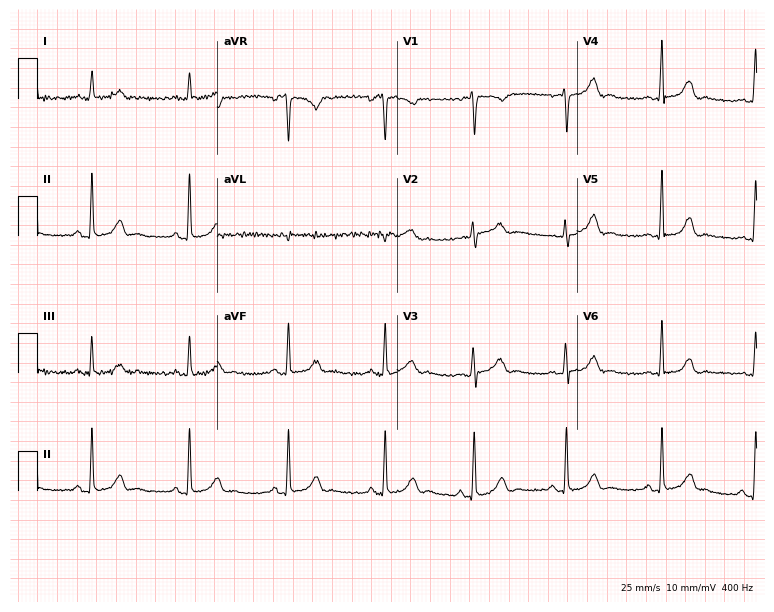
12-lead ECG from a 38-year-old woman. Labelled as a normal ECG.